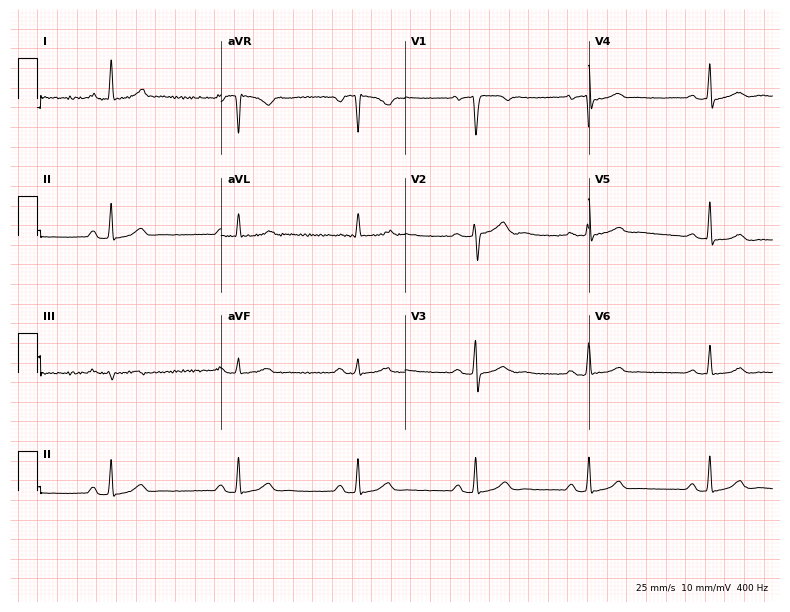
Resting 12-lead electrocardiogram (7.5-second recording at 400 Hz). Patient: a female, 43 years old. None of these six findings is recorded: first-degree AV block, right bundle branch block, left bundle branch block, sinus bradycardia, atrial fibrillation, sinus tachycardia.